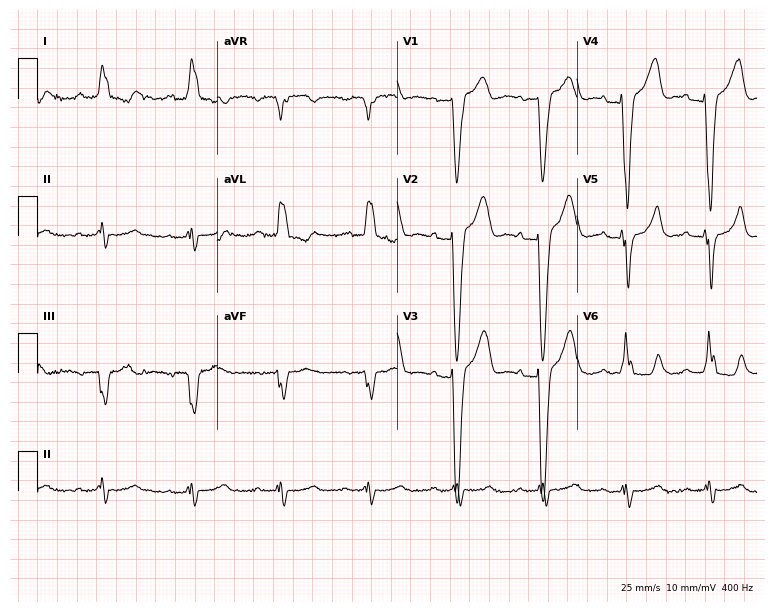
Electrocardiogram, a 75-year-old male. Interpretation includes first-degree AV block, left bundle branch block.